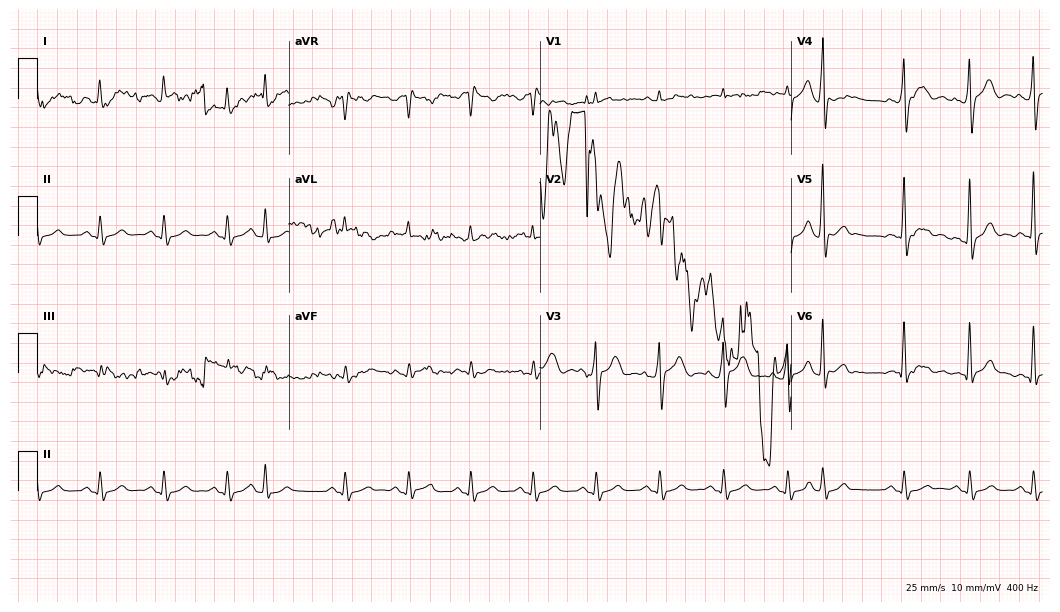
12-lead ECG (10.2-second recording at 400 Hz) from a 57-year-old male patient. Screened for six findings — first-degree AV block, right bundle branch block, left bundle branch block, sinus bradycardia, atrial fibrillation, sinus tachycardia — none is recorded.